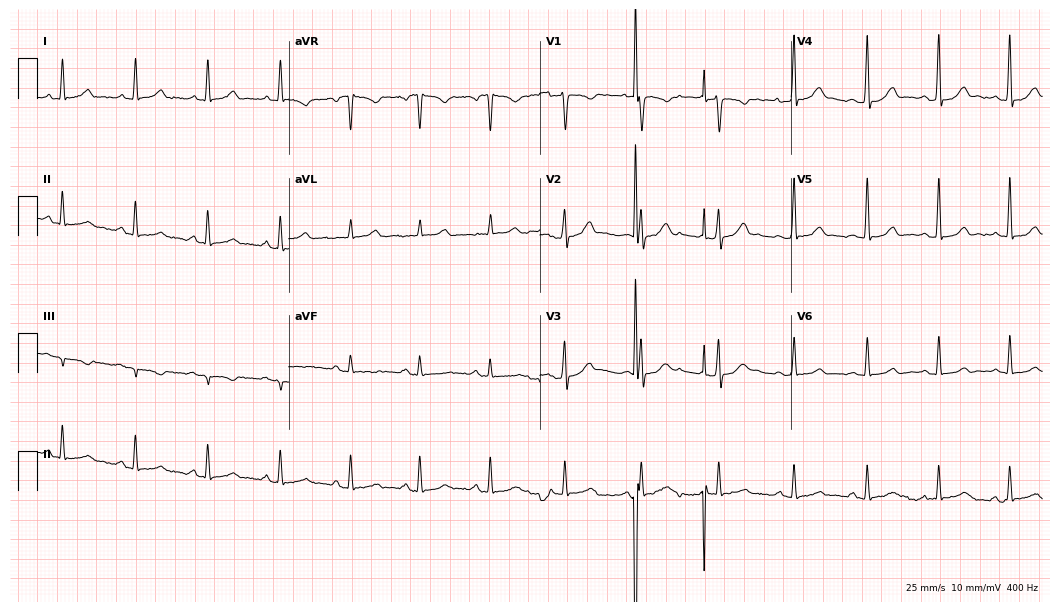
ECG — a female patient, 26 years old. Labelled as a normal ECG.